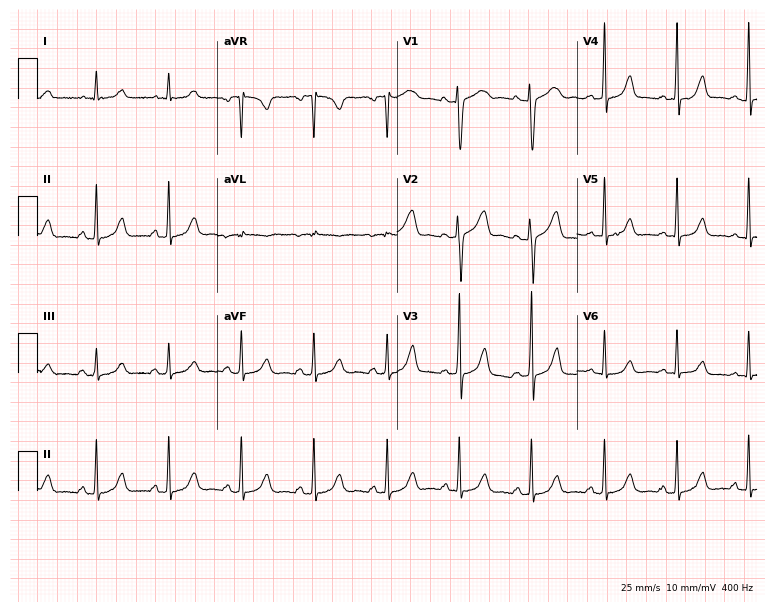
12-lead ECG from a female, 32 years old (7.3-second recording at 400 Hz). Recorded interpretation: within normal limits.